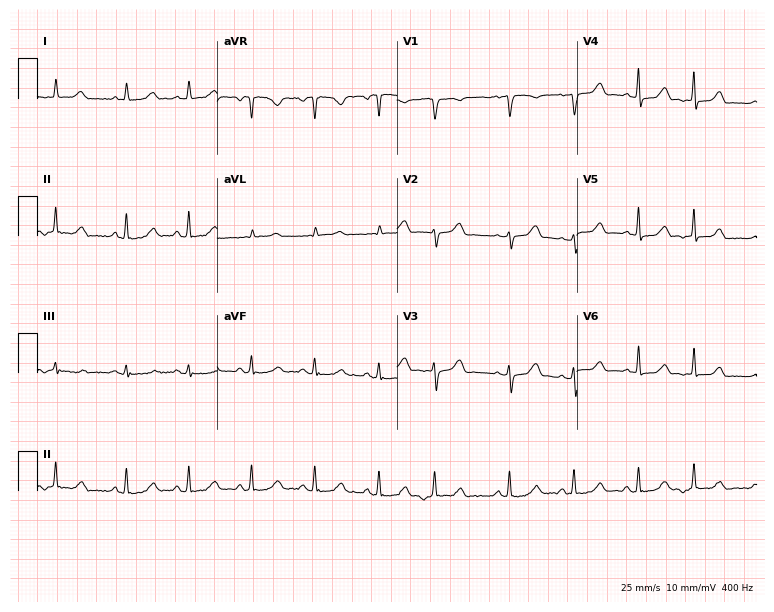
Resting 12-lead electrocardiogram (7.3-second recording at 400 Hz). Patient: a 47-year-old female. None of these six findings is recorded: first-degree AV block, right bundle branch block, left bundle branch block, sinus bradycardia, atrial fibrillation, sinus tachycardia.